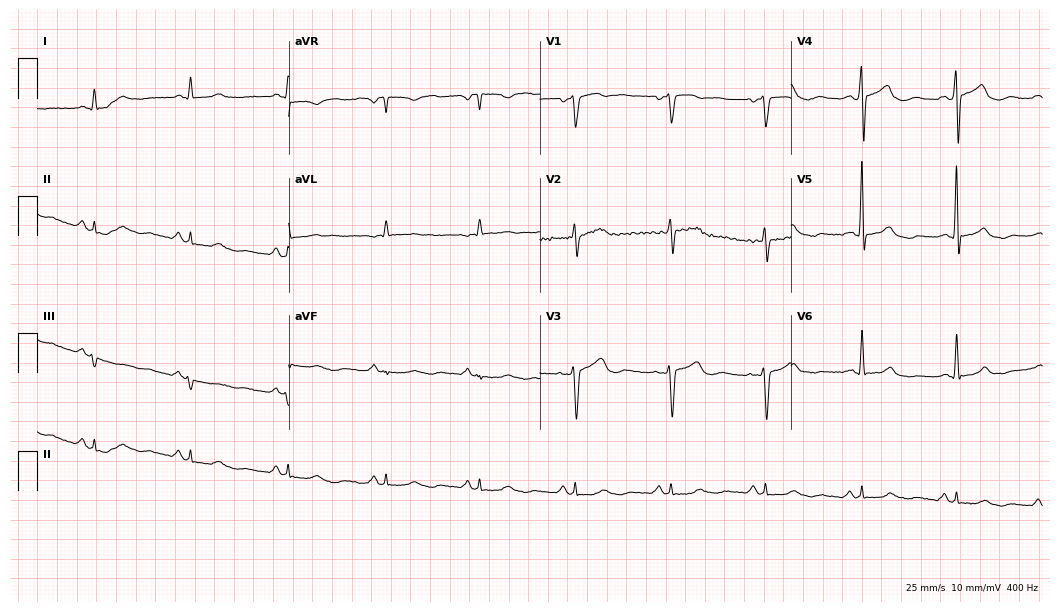
Resting 12-lead electrocardiogram (10.2-second recording at 400 Hz). Patient: a male, 47 years old. Read as a normal ECG.